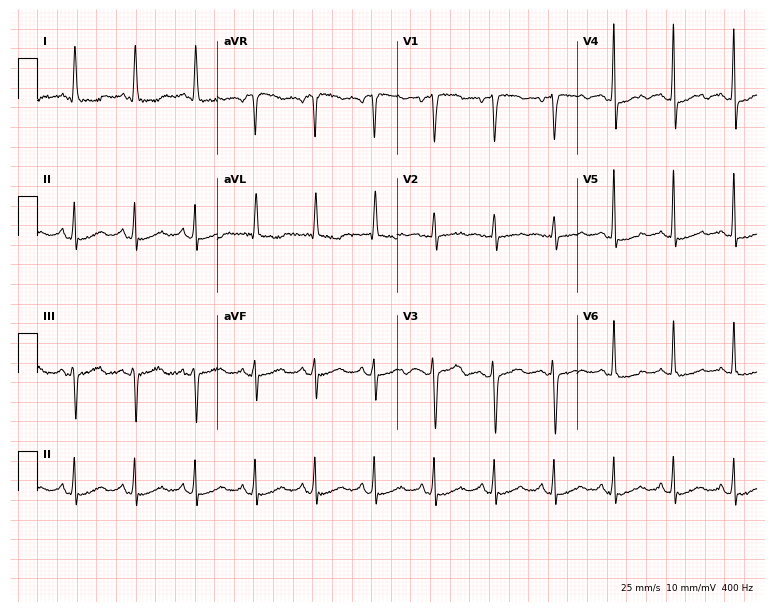
12-lead ECG (7.3-second recording at 400 Hz) from a 68-year-old female patient. Labelled as a normal ECG.